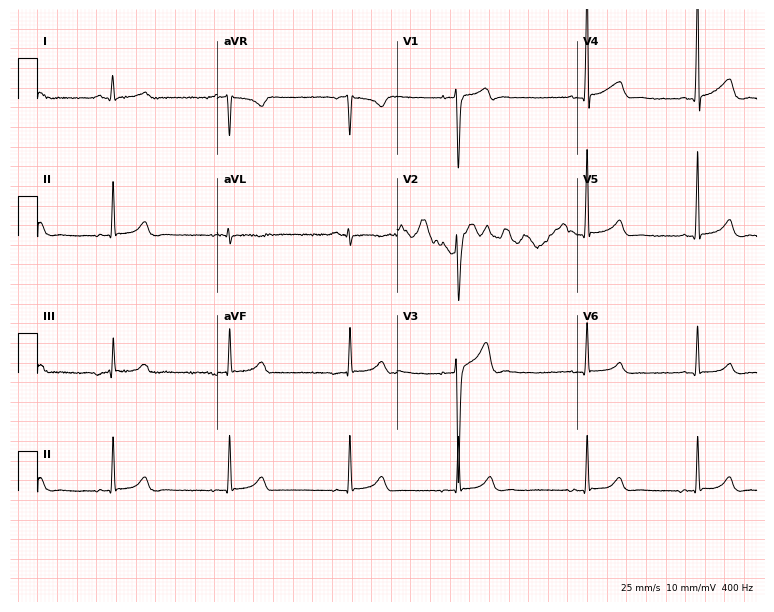
Resting 12-lead electrocardiogram. Patient: a male, 33 years old. Read as a normal ECG.